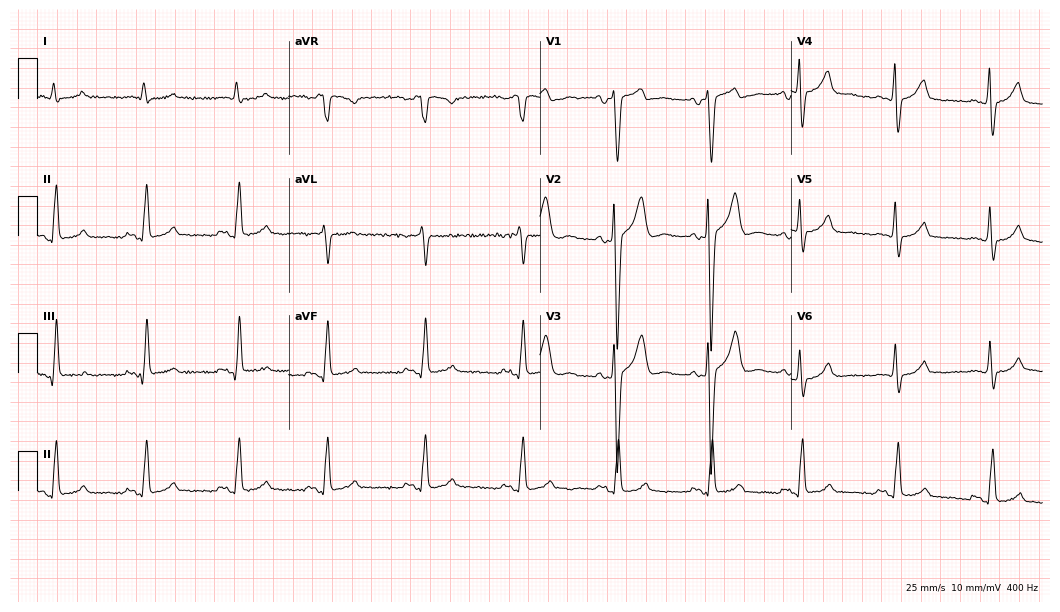
Standard 12-lead ECG recorded from a 61-year-old man (10.2-second recording at 400 Hz). None of these six findings is recorded: first-degree AV block, right bundle branch block (RBBB), left bundle branch block (LBBB), sinus bradycardia, atrial fibrillation (AF), sinus tachycardia.